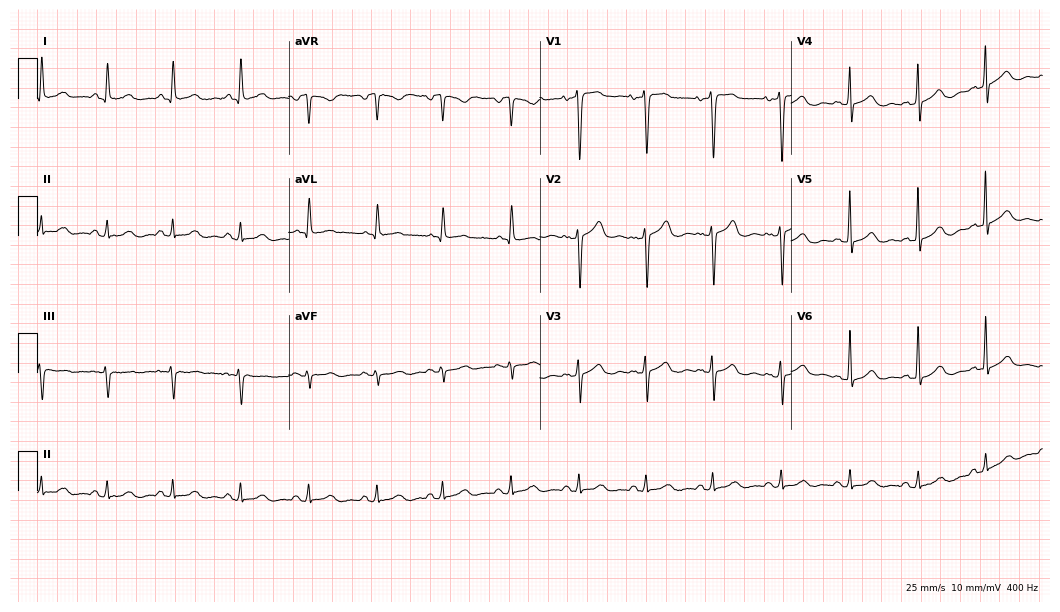
ECG (10.2-second recording at 400 Hz) — a female, 45 years old. Labelled as a normal ECG.